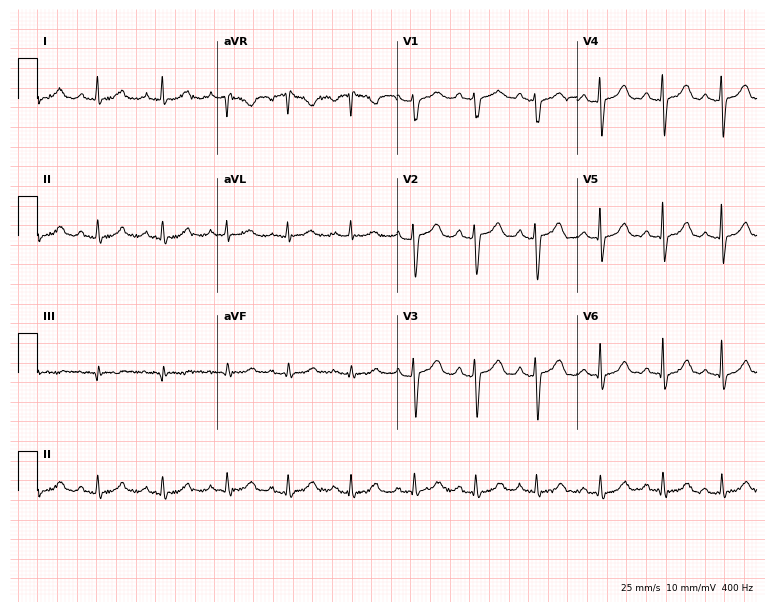
12-lead ECG from a 63-year-old female (7.3-second recording at 400 Hz). No first-degree AV block, right bundle branch block, left bundle branch block, sinus bradycardia, atrial fibrillation or sinus tachycardia recorded for this tracing. Other findings, if any, are not listed.